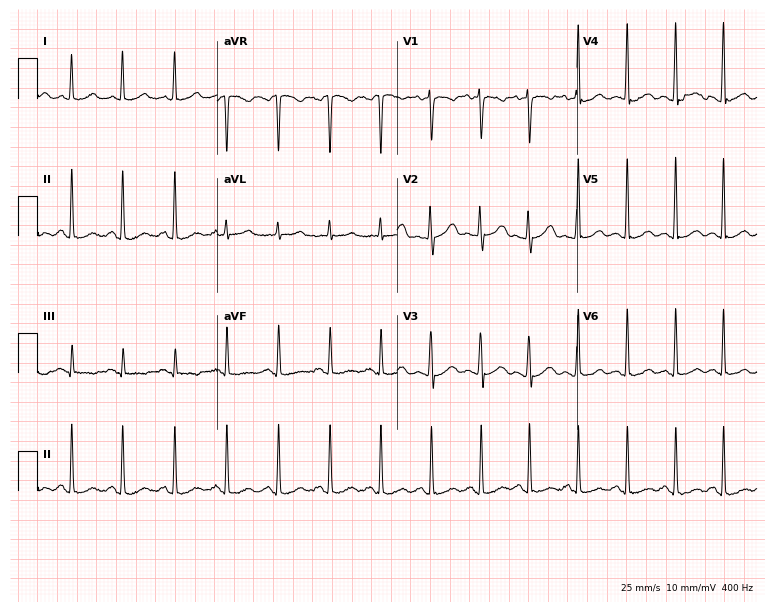
Electrocardiogram, a female, 30 years old. Of the six screened findings (first-degree AV block, right bundle branch block (RBBB), left bundle branch block (LBBB), sinus bradycardia, atrial fibrillation (AF), sinus tachycardia), none is recorded. Findings outside these six are not listed.